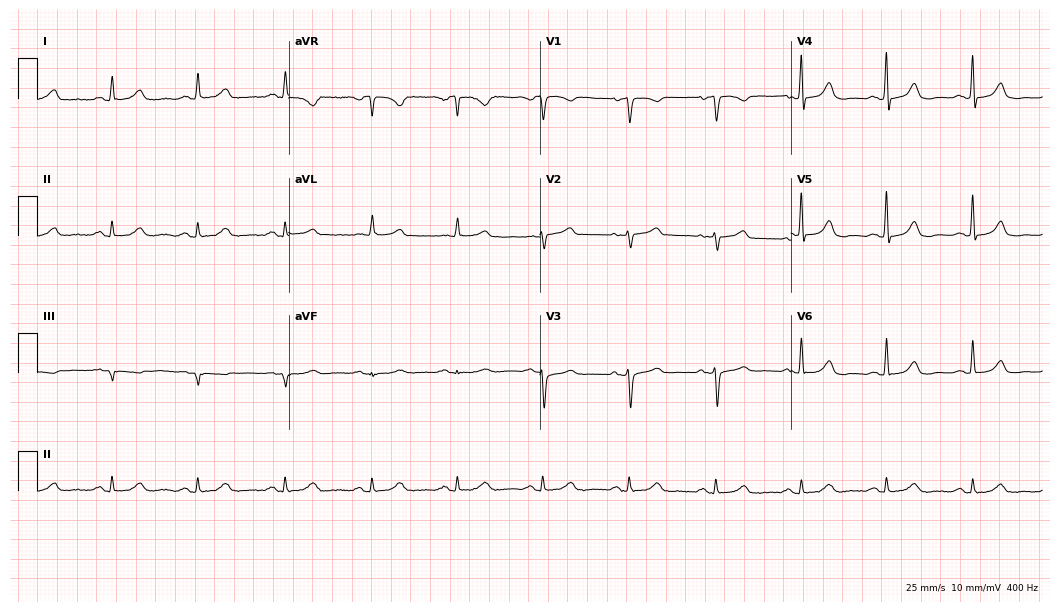
Electrocardiogram, a 74-year-old woman. Overall reading on record: normal ECG.